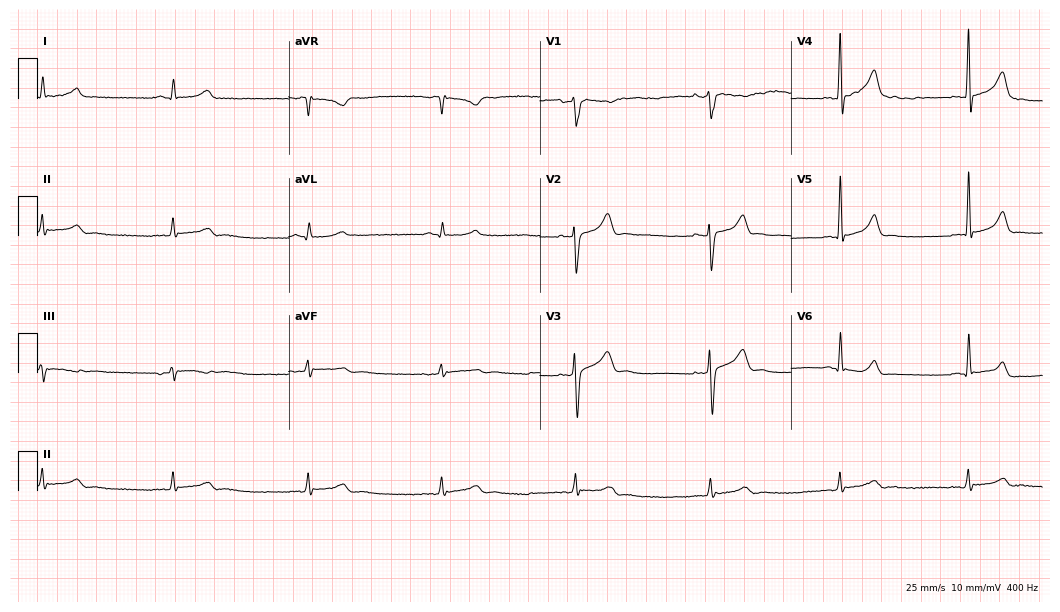
12-lead ECG (10.2-second recording at 400 Hz) from a 44-year-old male patient. Findings include sinus bradycardia (a sinus rate of 50 beats per minute or less).